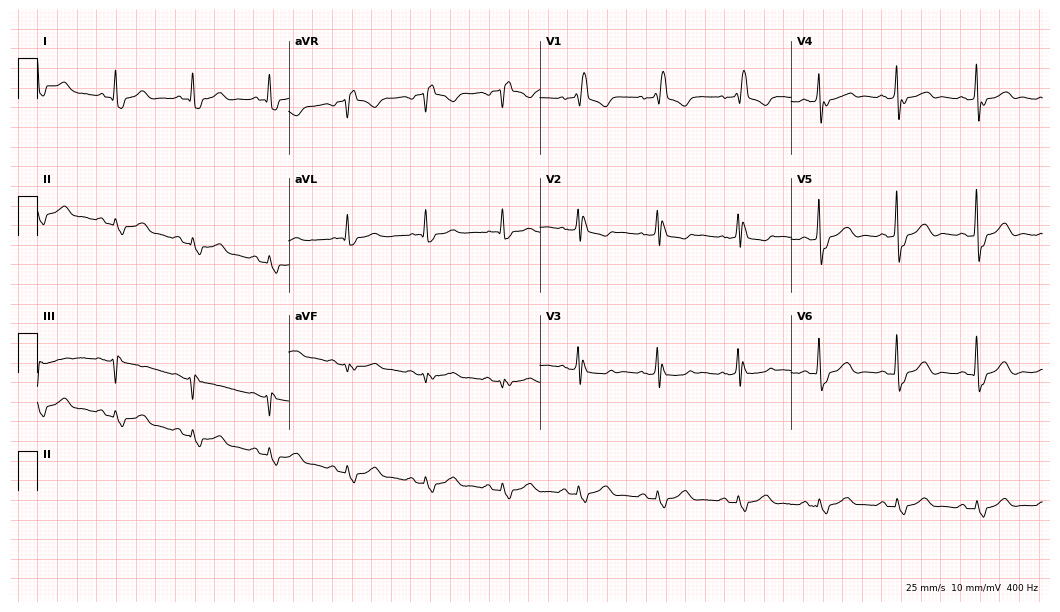
Resting 12-lead electrocardiogram (10.2-second recording at 400 Hz). Patient: a female, 71 years old. The tracing shows right bundle branch block (RBBB).